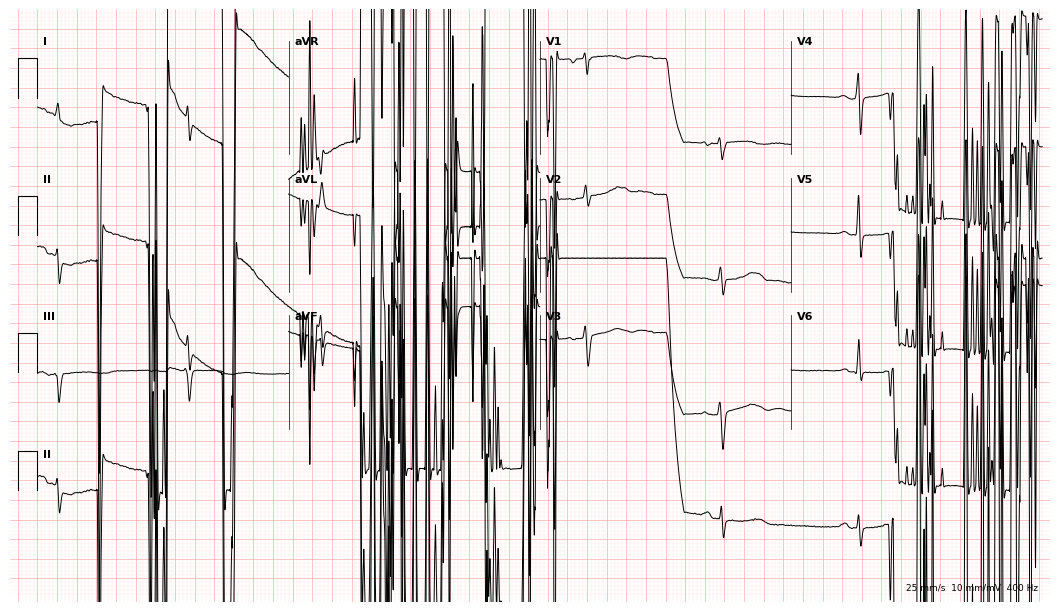
12-lead ECG from a female patient, 52 years old. No first-degree AV block, right bundle branch block, left bundle branch block, sinus bradycardia, atrial fibrillation or sinus tachycardia recorded for this tracing.